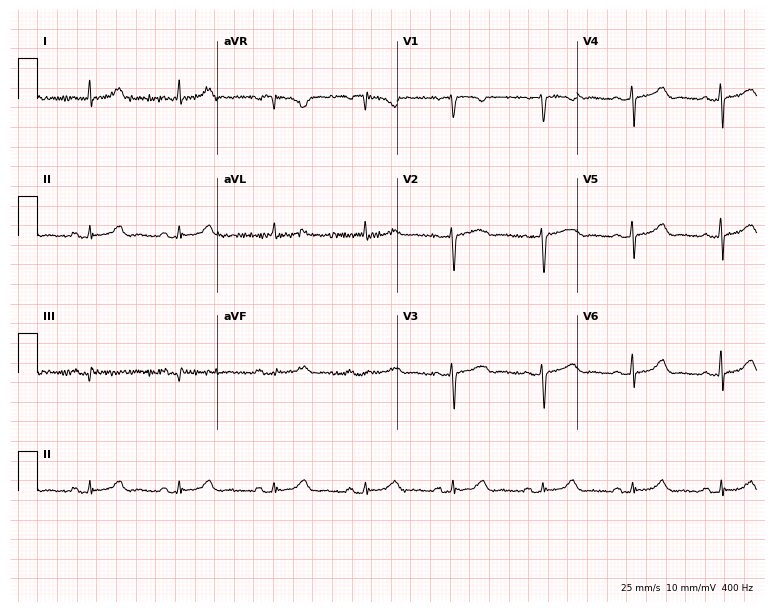
Resting 12-lead electrocardiogram. Patient: a female, 80 years old. Read as a normal ECG.